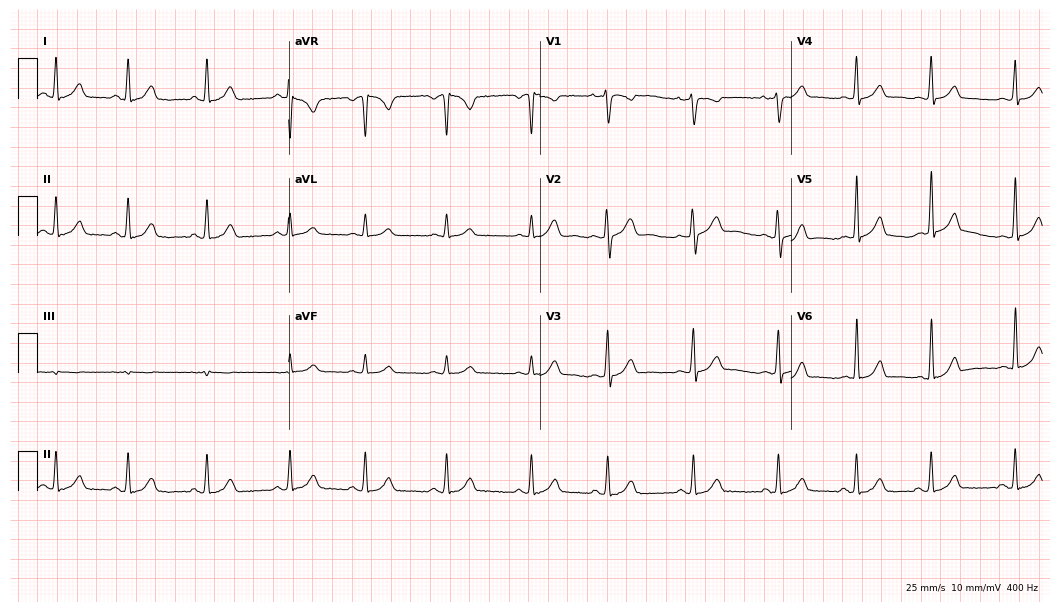
12-lead ECG from a woman, 25 years old (10.2-second recording at 400 Hz). Recorded interpretation: within normal limits.